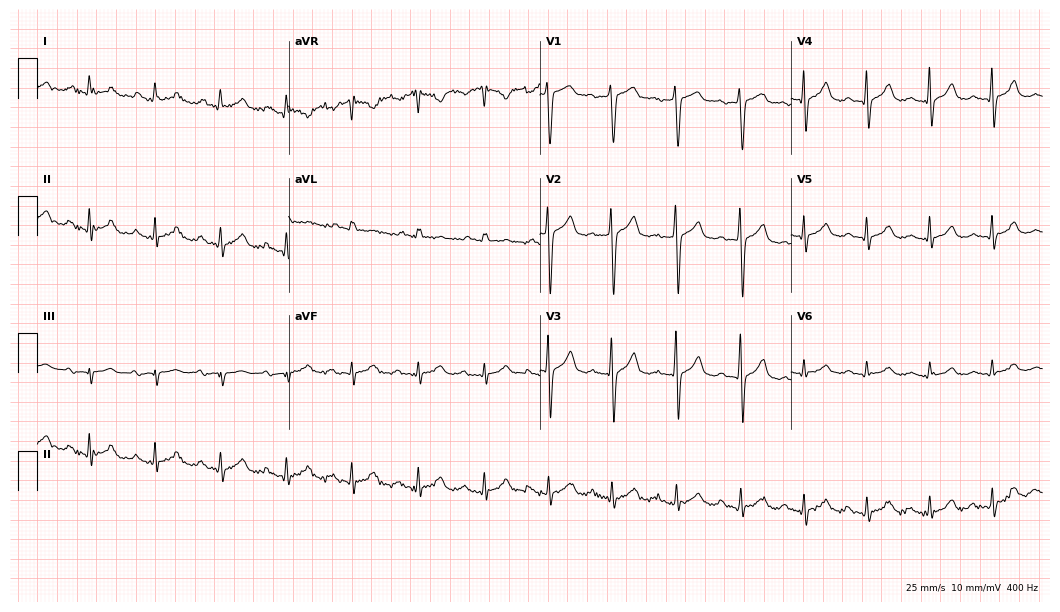
Standard 12-lead ECG recorded from a 75-year-old man (10.2-second recording at 400 Hz). Read as a normal ECG.